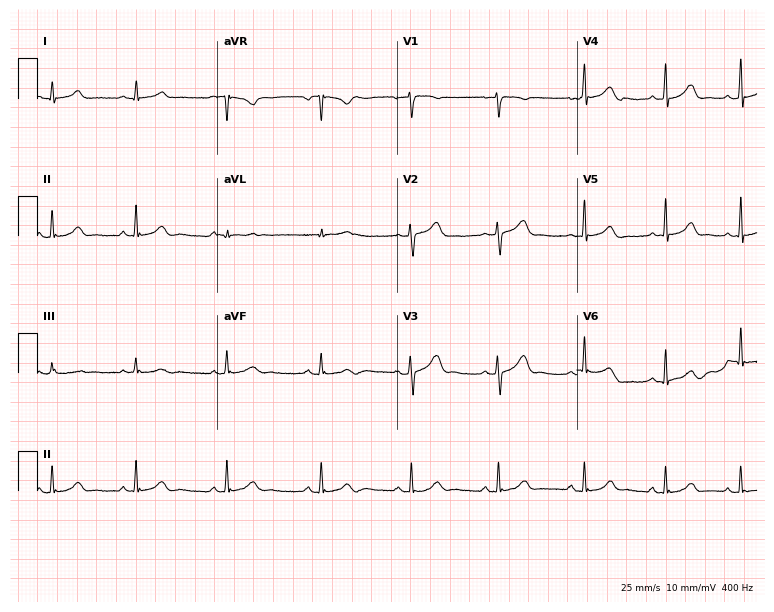
Electrocardiogram, a female patient, 31 years old. Overall reading on record: normal ECG.